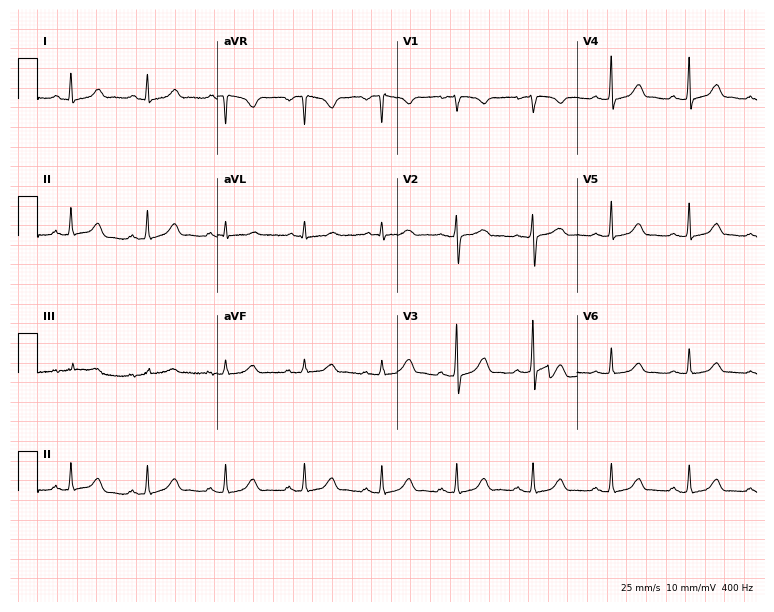
12-lead ECG (7.3-second recording at 400 Hz) from a woman, 23 years old. Labelled as a normal ECG.